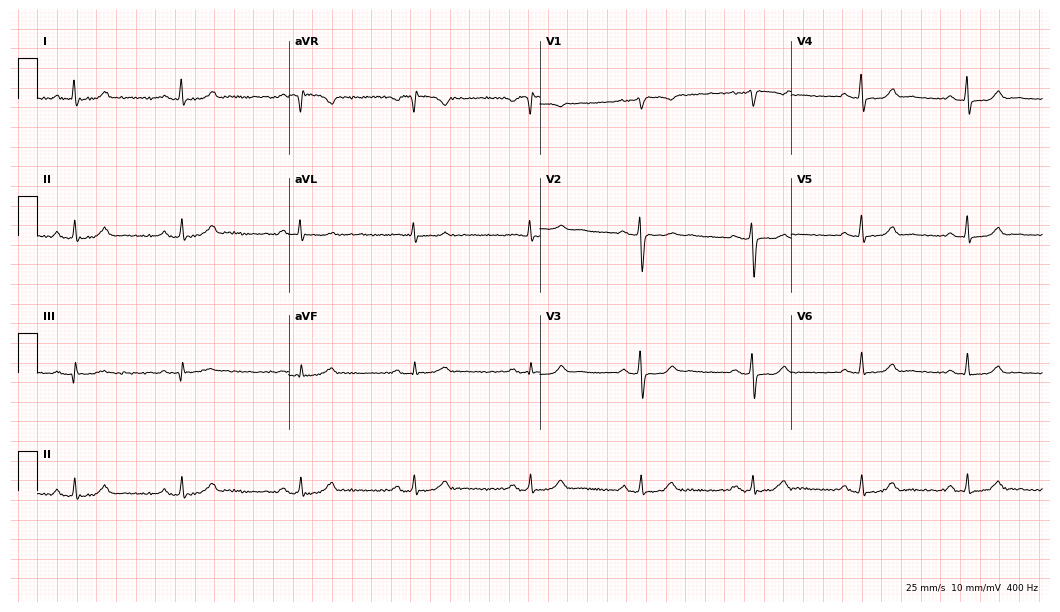
12-lead ECG from a 54-year-old female patient. No first-degree AV block, right bundle branch block (RBBB), left bundle branch block (LBBB), sinus bradycardia, atrial fibrillation (AF) or sinus tachycardia recorded for this tracing. Other findings, if any, are not listed.